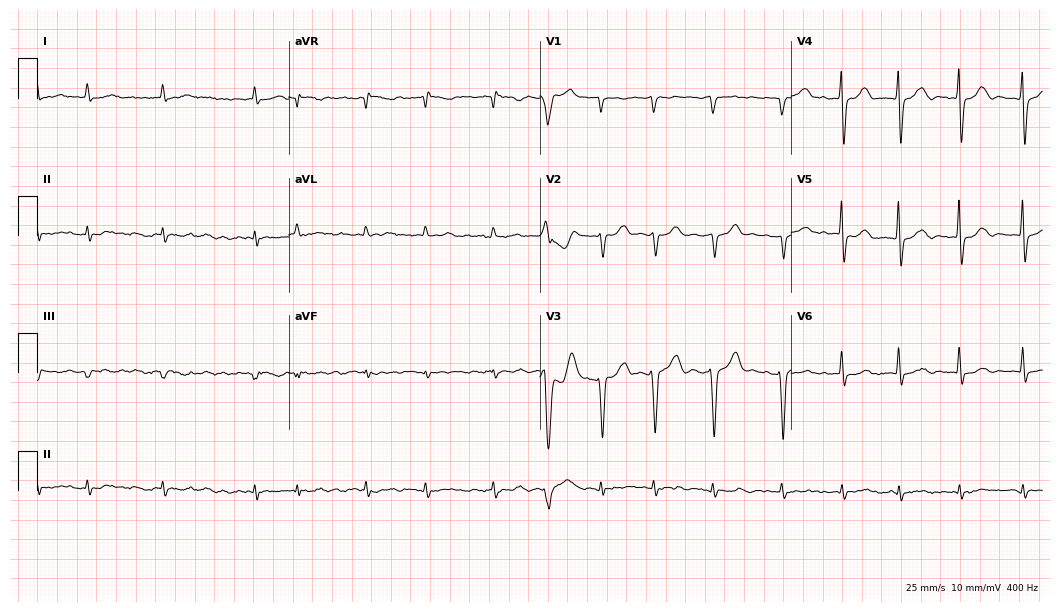
12-lead ECG from a female patient, 73 years old. Findings include atrial fibrillation.